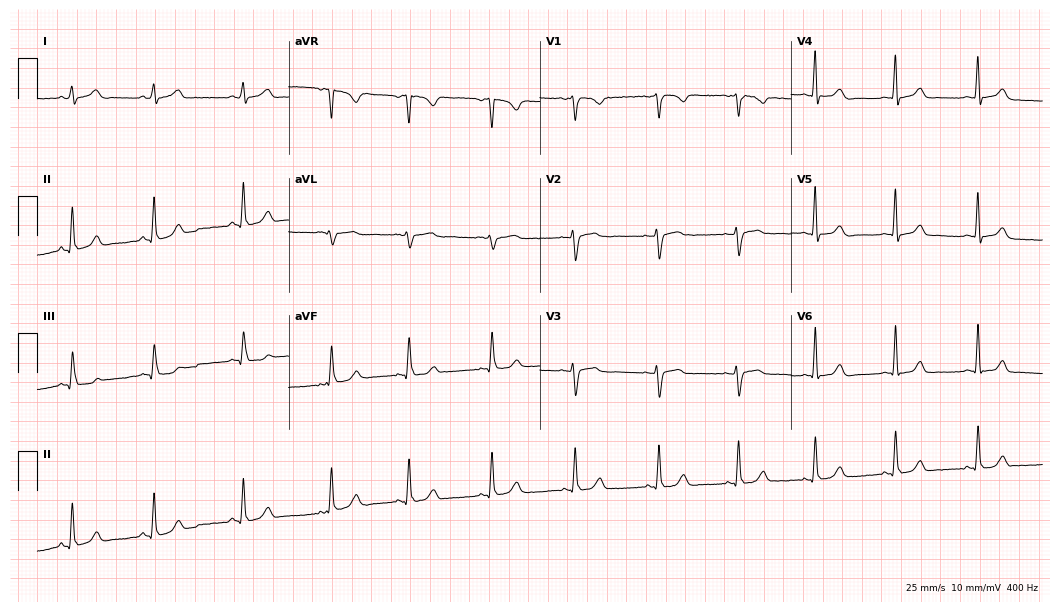
Resting 12-lead electrocardiogram (10.2-second recording at 400 Hz). Patient: a 32-year-old female. None of these six findings is recorded: first-degree AV block, right bundle branch block, left bundle branch block, sinus bradycardia, atrial fibrillation, sinus tachycardia.